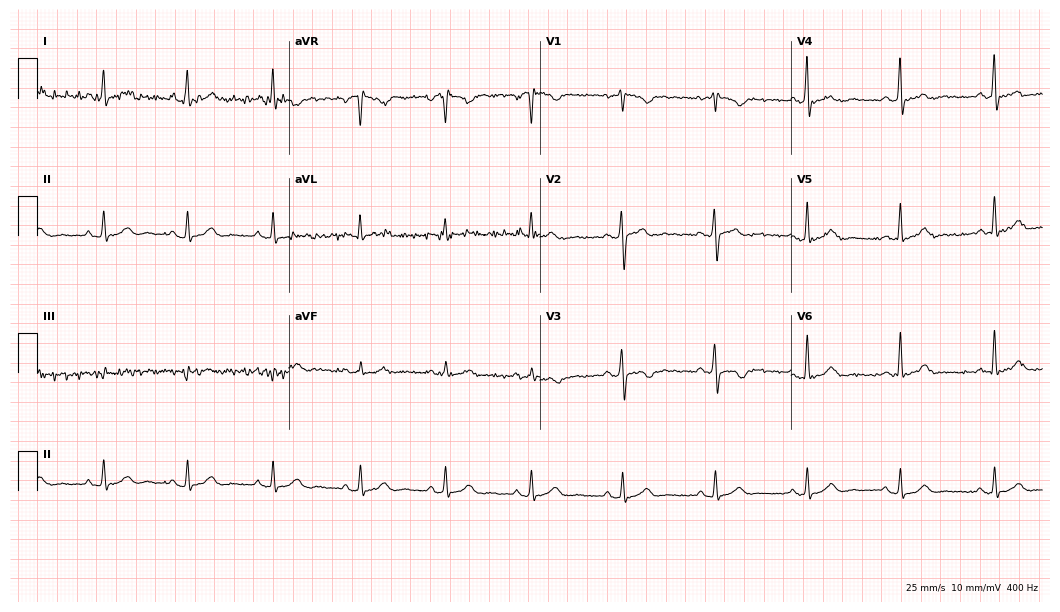
Resting 12-lead electrocardiogram (10.2-second recording at 400 Hz). Patient: a 43-year-old woman. Read as a normal ECG.